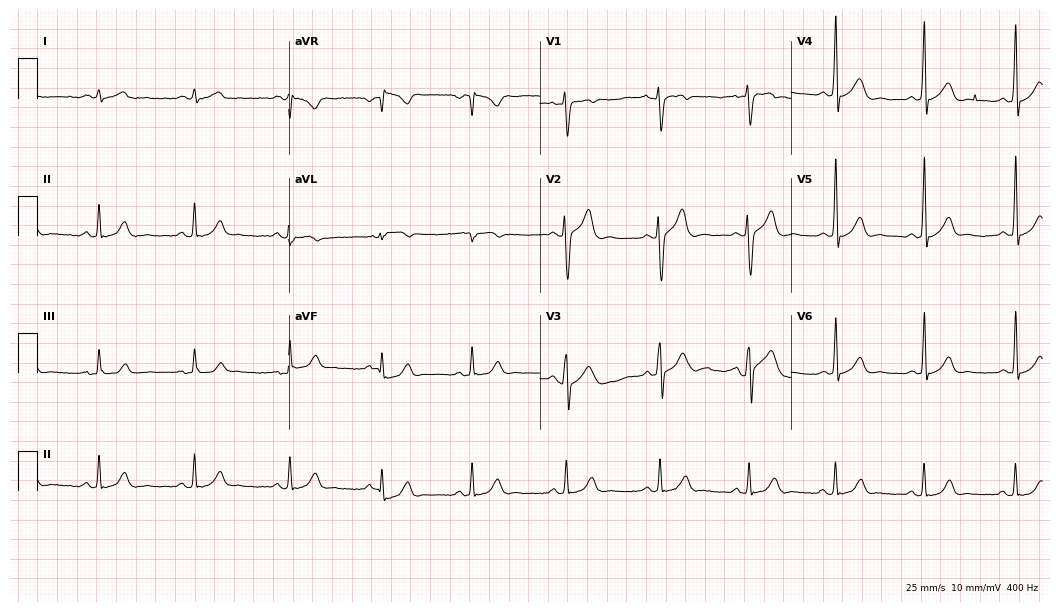
Standard 12-lead ECG recorded from a 30-year-old man (10.2-second recording at 400 Hz). Read as a normal ECG.